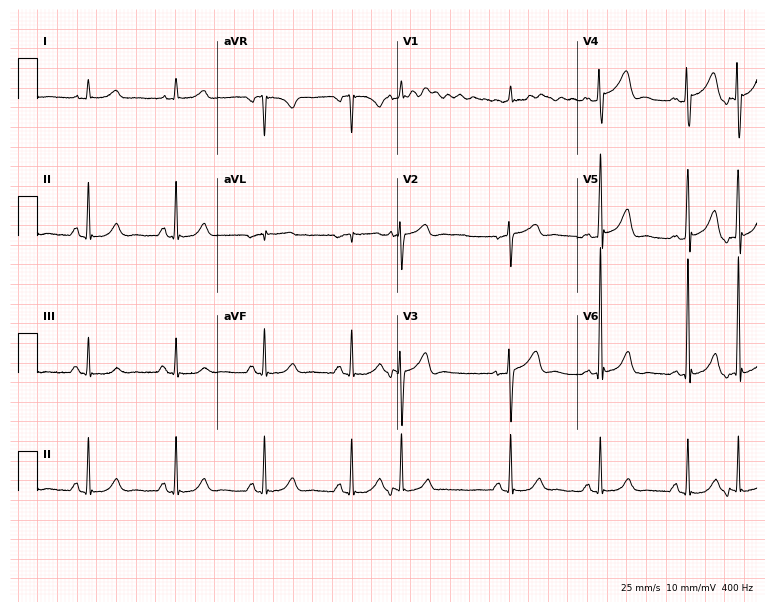
12-lead ECG from a male patient, 70 years old. Labelled as a normal ECG.